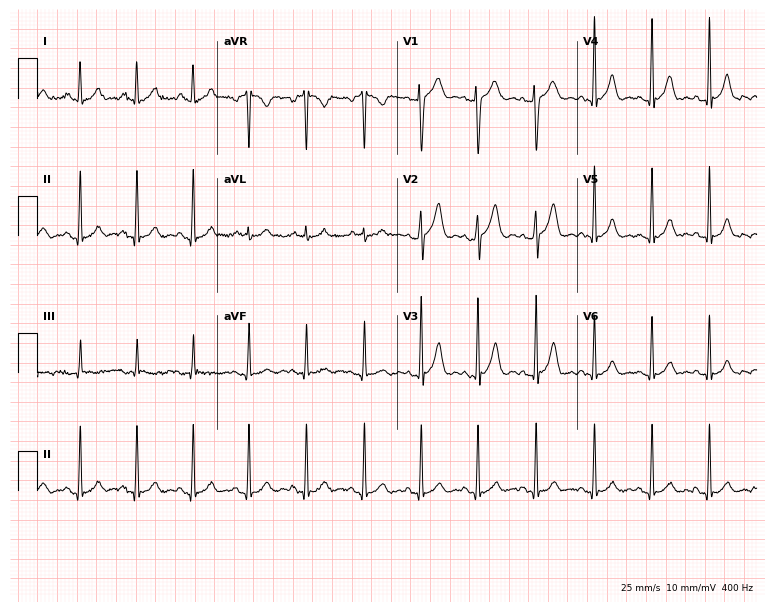
Standard 12-lead ECG recorded from a female, 20 years old (7.3-second recording at 400 Hz). None of these six findings is recorded: first-degree AV block, right bundle branch block, left bundle branch block, sinus bradycardia, atrial fibrillation, sinus tachycardia. Findings outside these six are not listed.